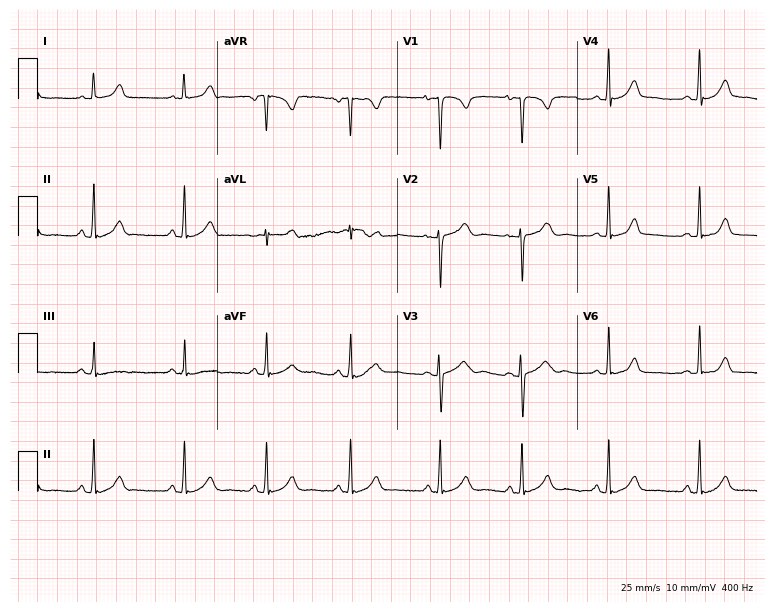
Resting 12-lead electrocardiogram. Patient: a female, 23 years old. Read as a normal ECG.